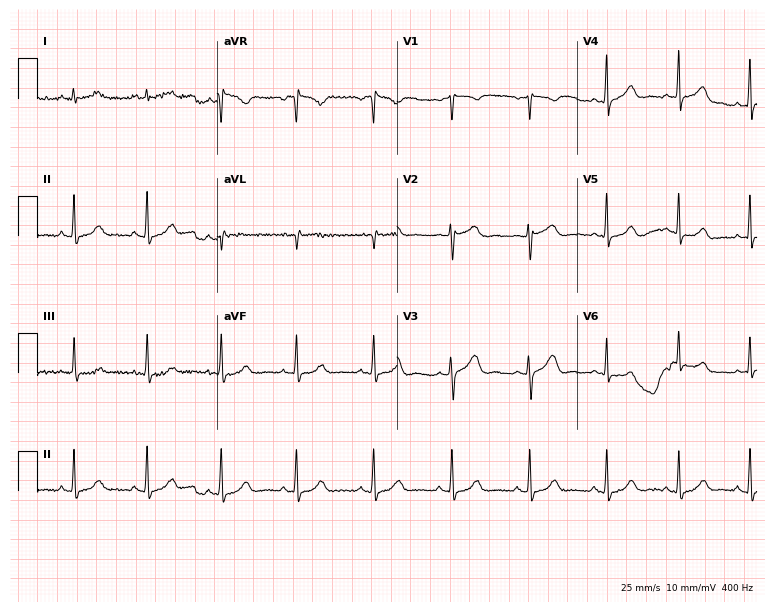
Standard 12-lead ECG recorded from a woman, 54 years old. Read as a normal ECG.